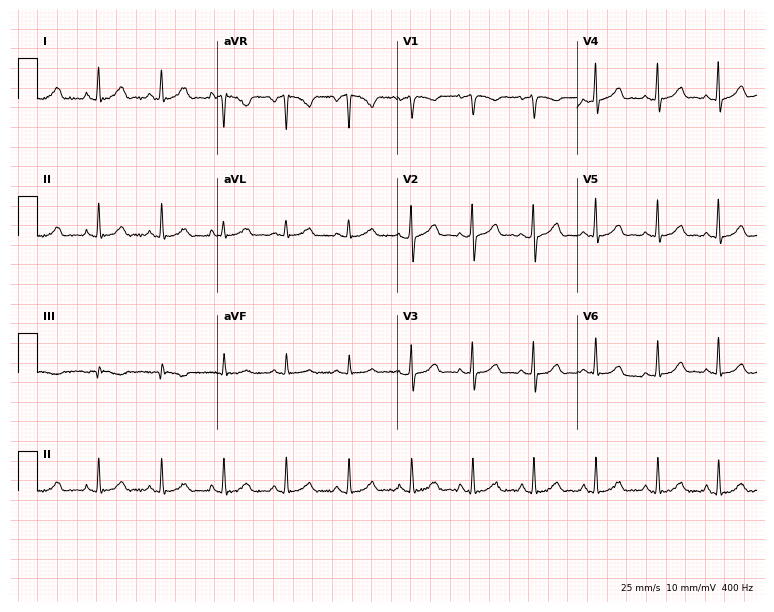
12-lead ECG (7.3-second recording at 400 Hz) from a 36-year-old female patient. Labelled as a normal ECG.